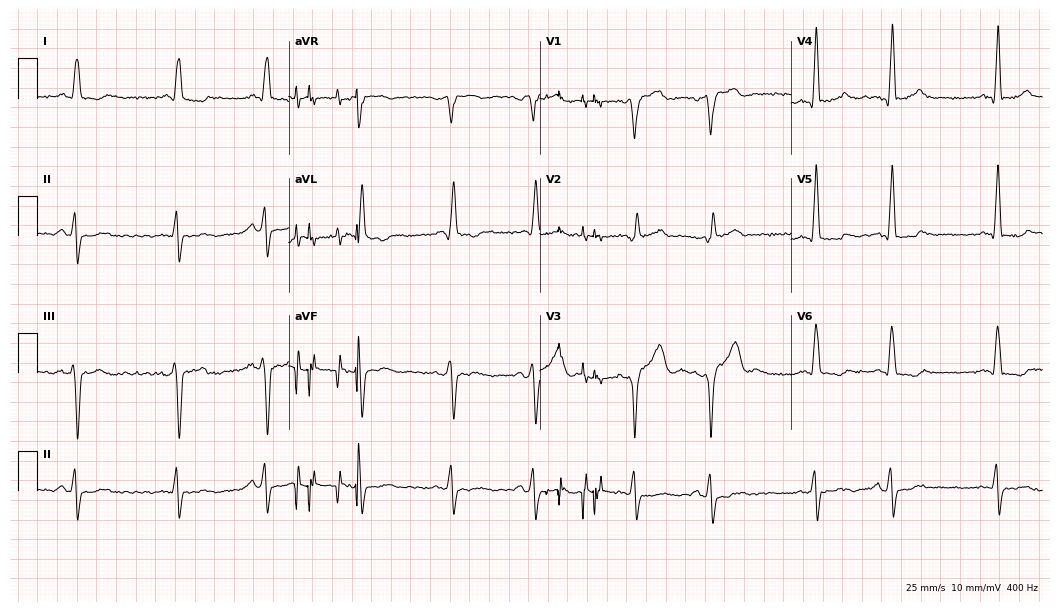
ECG — a 67-year-old male patient. Screened for six findings — first-degree AV block, right bundle branch block, left bundle branch block, sinus bradycardia, atrial fibrillation, sinus tachycardia — none is recorded.